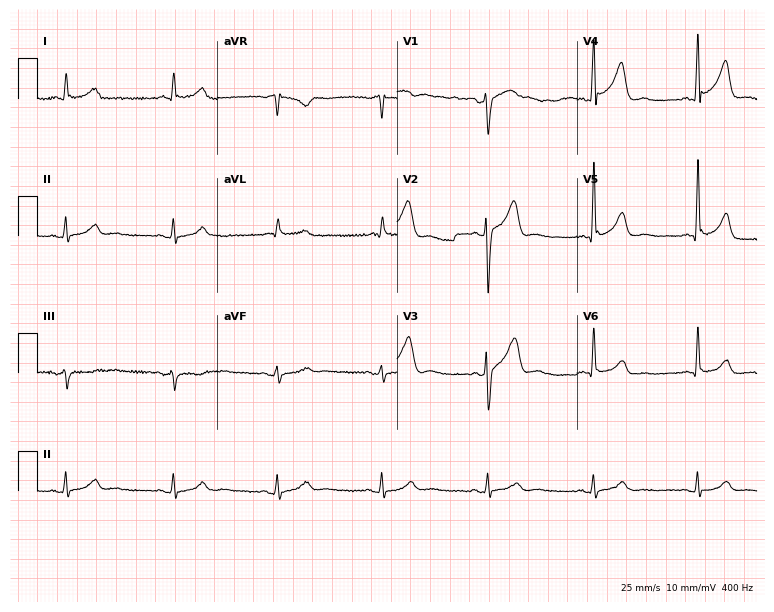
12-lead ECG (7.3-second recording at 400 Hz) from a 68-year-old female patient. Screened for six findings — first-degree AV block, right bundle branch block, left bundle branch block, sinus bradycardia, atrial fibrillation, sinus tachycardia — none is recorded. Only these six findings were labelled.